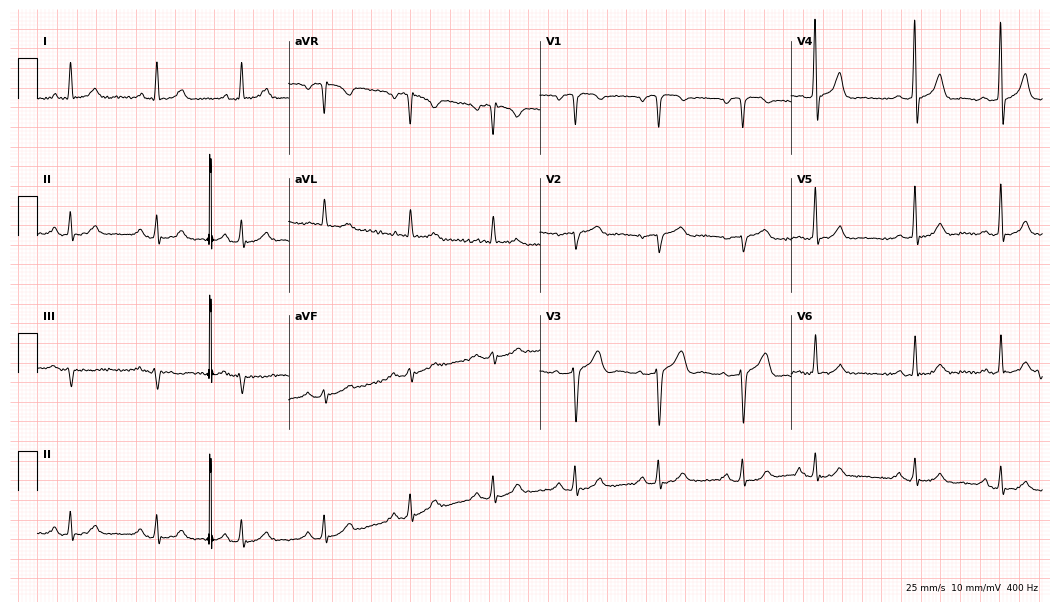
Electrocardiogram, a 70-year-old male. Of the six screened findings (first-degree AV block, right bundle branch block (RBBB), left bundle branch block (LBBB), sinus bradycardia, atrial fibrillation (AF), sinus tachycardia), none is recorded.